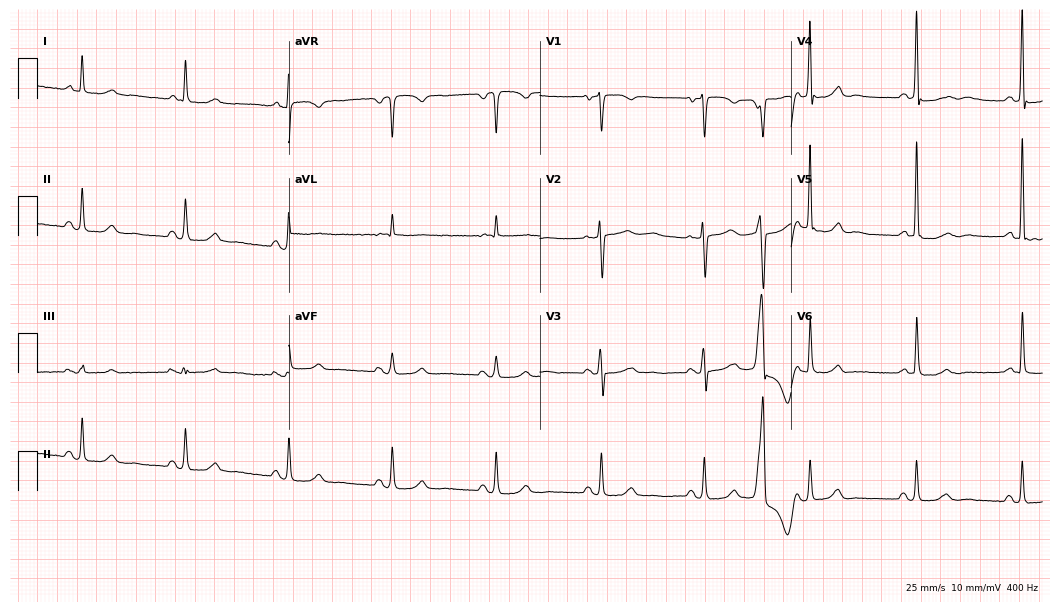
12-lead ECG (10.2-second recording at 400 Hz) from a female, 68 years old. Screened for six findings — first-degree AV block, right bundle branch block, left bundle branch block, sinus bradycardia, atrial fibrillation, sinus tachycardia — none is recorded. Other findings, if any, are not listed.